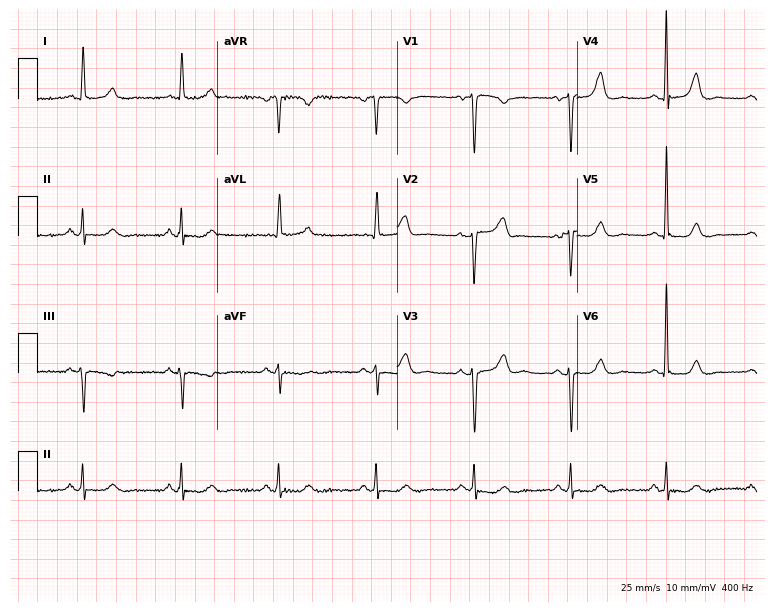
12-lead ECG from a 65-year-old female patient. No first-degree AV block, right bundle branch block, left bundle branch block, sinus bradycardia, atrial fibrillation or sinus tachycardia recorded for this tracing. Other findings, if any, are not listed.